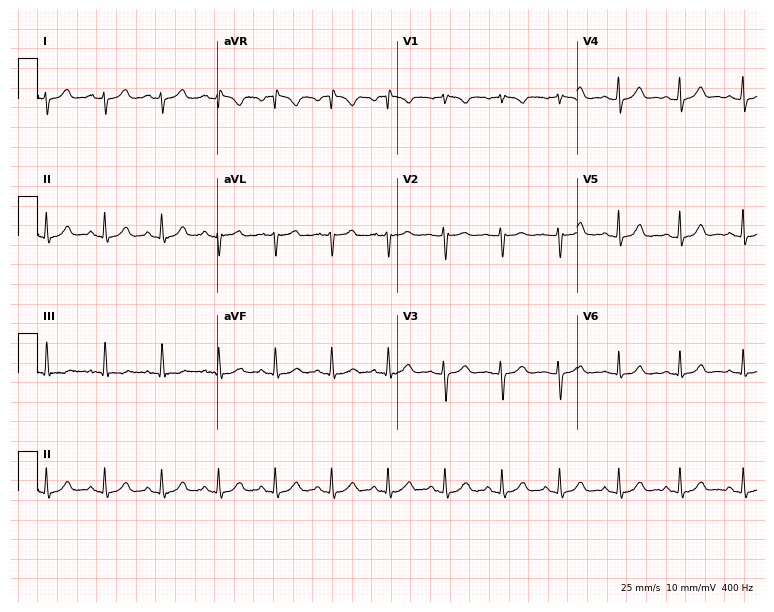
ECG (7.3-second recording at 400 Hz) — a woman, 21 years old. Findings include sinus tachycardia (a sinus rate of 100 beats per minute or more).